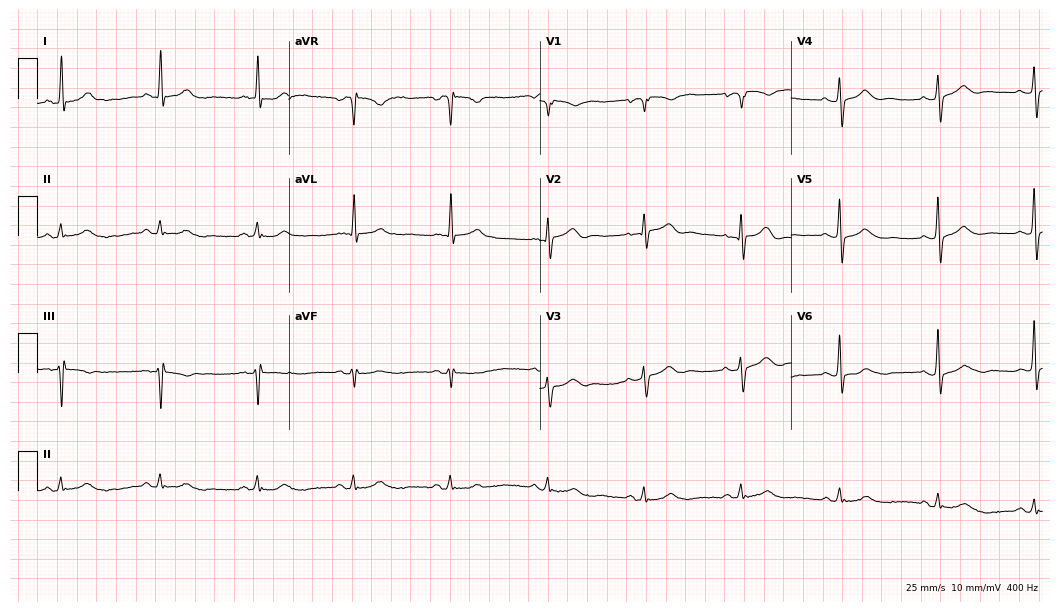
Electrocardiogram (10.2-second recording at 400 Hz), a man, 72 years old. Of the six screened findings (first-degree AV block, right bundle branch block, left bundle branch block, sinus bradycardia, atrial fibrillation, sinus tachycardia), none is recorded.